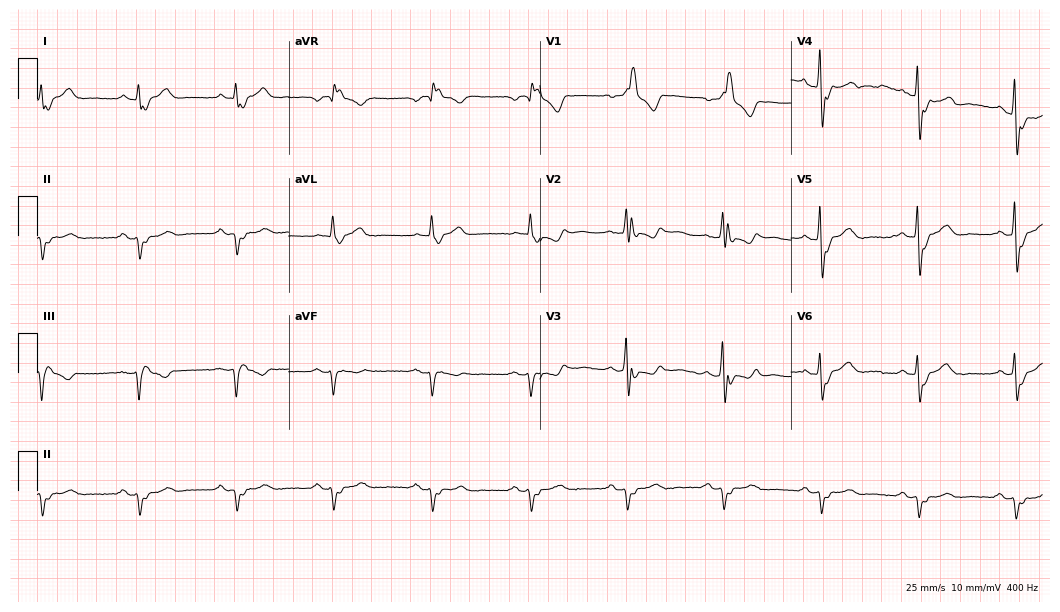
12-lead ECG from a female, 66 years old. Shows right bundle branch block (RBBB).